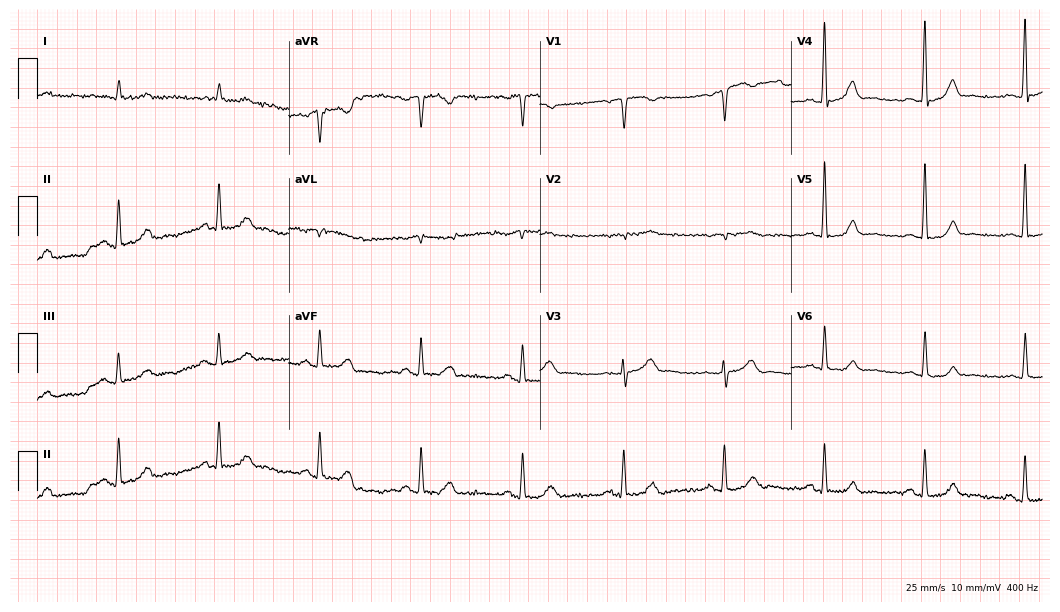
12-lead ECG from an 82-year-old man. Labelled as a normal ECG.